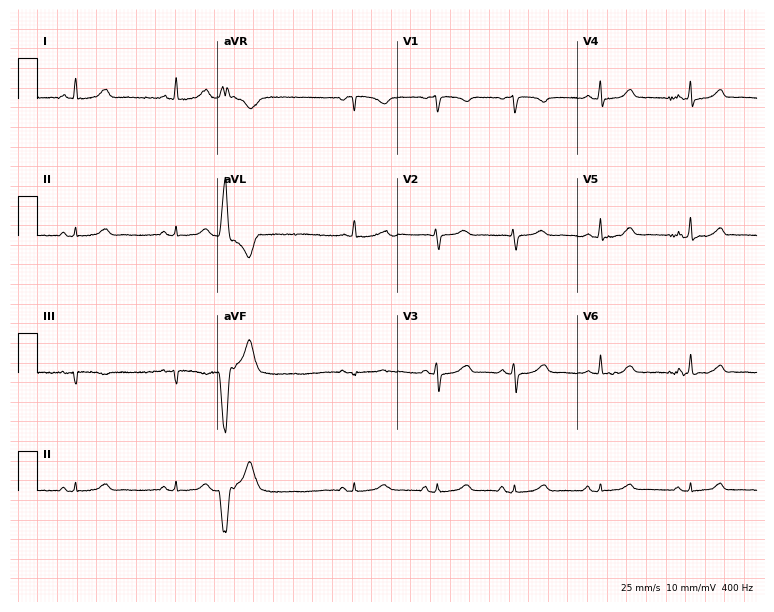
12-lead ECG from a 48-year-old woman (7.3-second recording at 400 Hz). No first-degree AV block, right bundle branch block (RBBB), left bundle branch block (LBBB), sinus bradycardia, atrial fibrillation (AF) or sinus tachycardia recorded for this tracing. Findings outside these six are not listed.